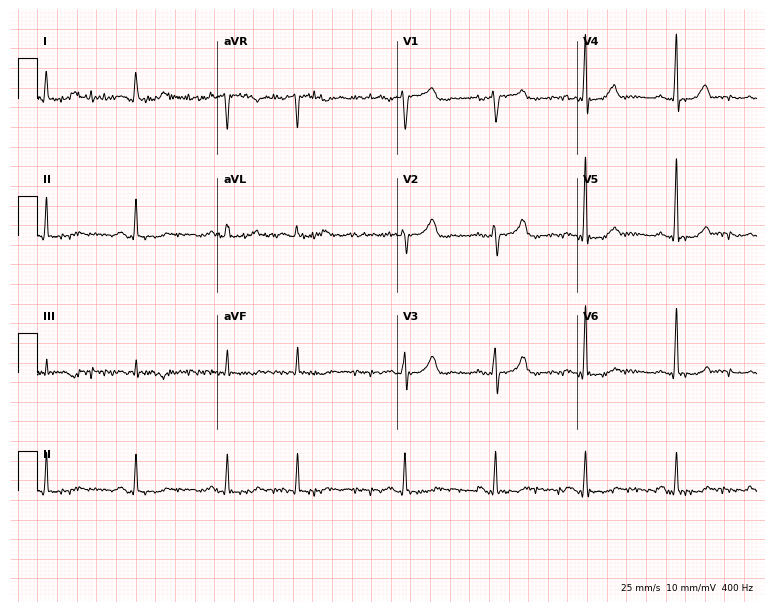
Resting 12-lead electrocardiogram (7.3-second recording at 400 Hz). Patient: a 75-year-old woman. Read as a normal ECG.